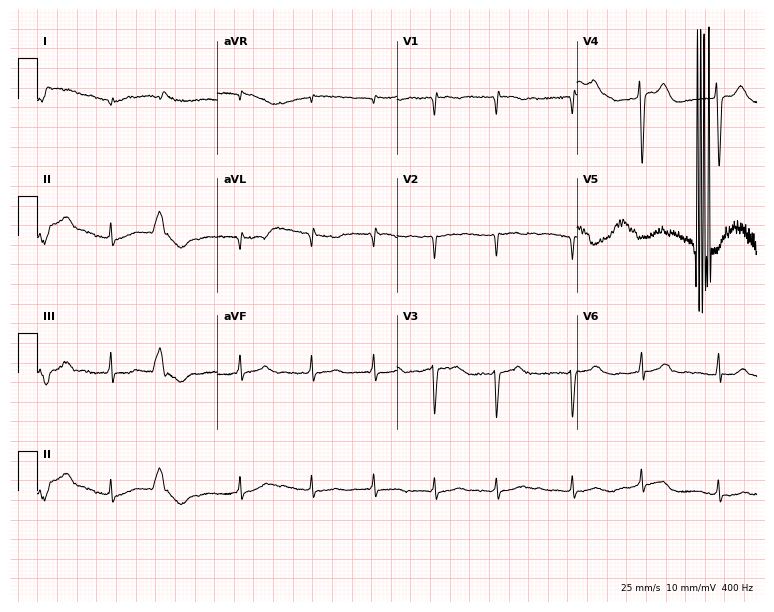
ECG (7.3-second recording at 400 Hz) — a male patient, 84 years old. Screened for six findings — first-degree AV block, right bundle branch block (RBBB), left bundle branch block (LBBB), sinus bradycardia, atrial fibrillation (AF), sinus tachycardia — none is recorded.